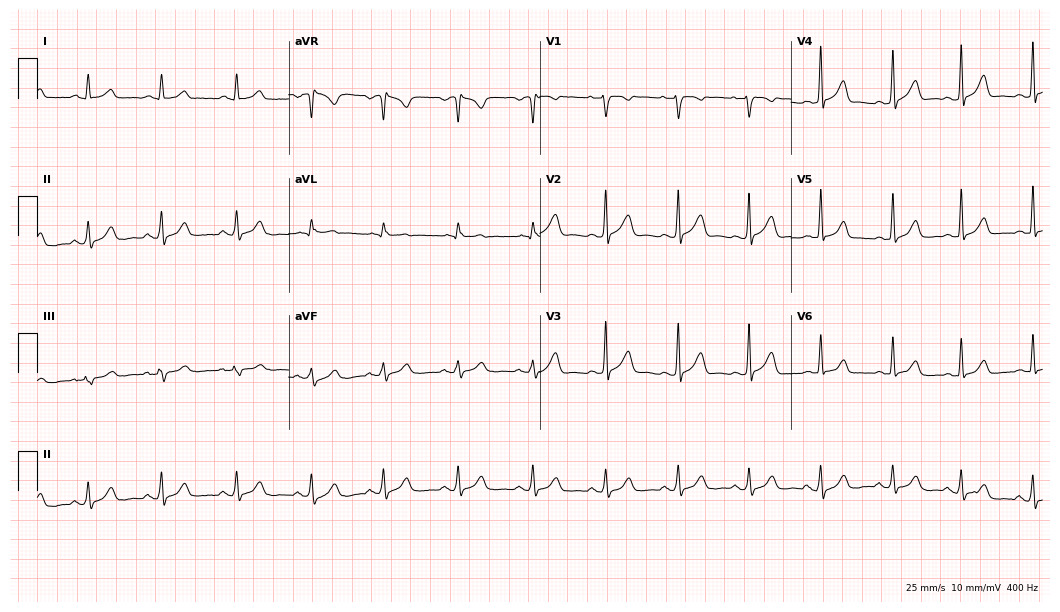
12-lead ECG from a female, 35 years old. Recorded interpretation: within normal limits.